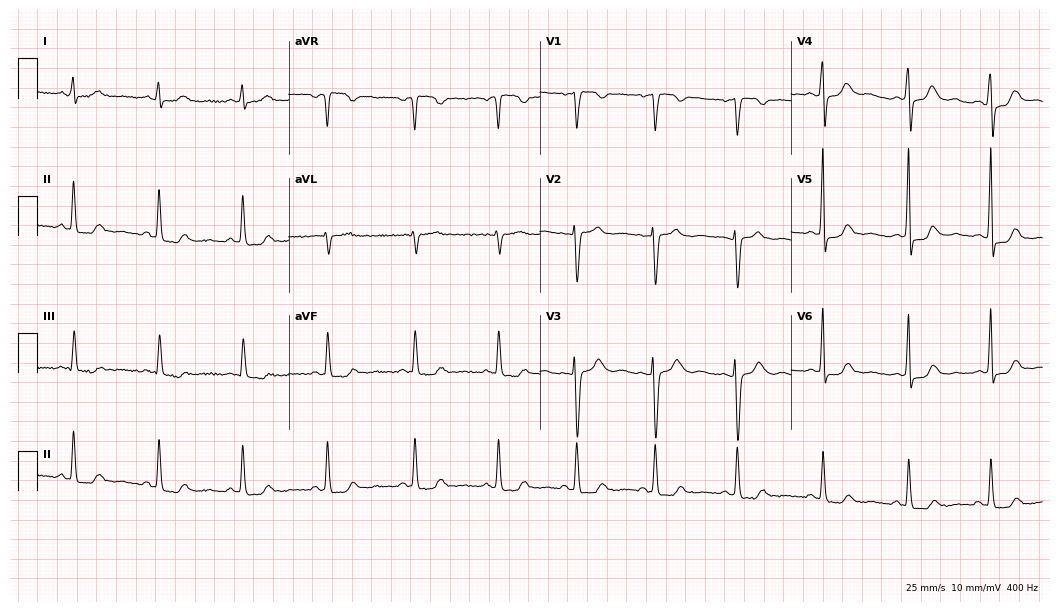
Resting 12-lead electrocardiogram (10.2-second recording at 400 Hz). Patient: a female, 49 years old. Read as a normal ECG.